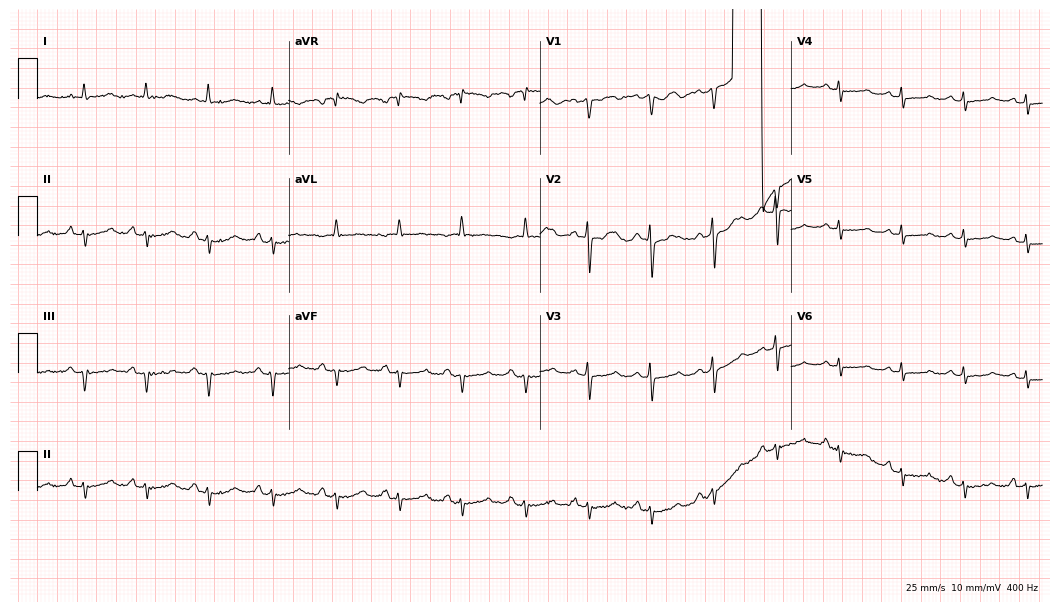
Standard 12-lead ECG recorded from a female patient, 63 years old (10.2-second recording at 400 Hz). None of these six findings is recorded: first-degree AV block, right bundle branch block (RBBB), left bundle branch block (LBBB), sinus bradycardia, atrial fibrillation (AF), sinus tachycardia.